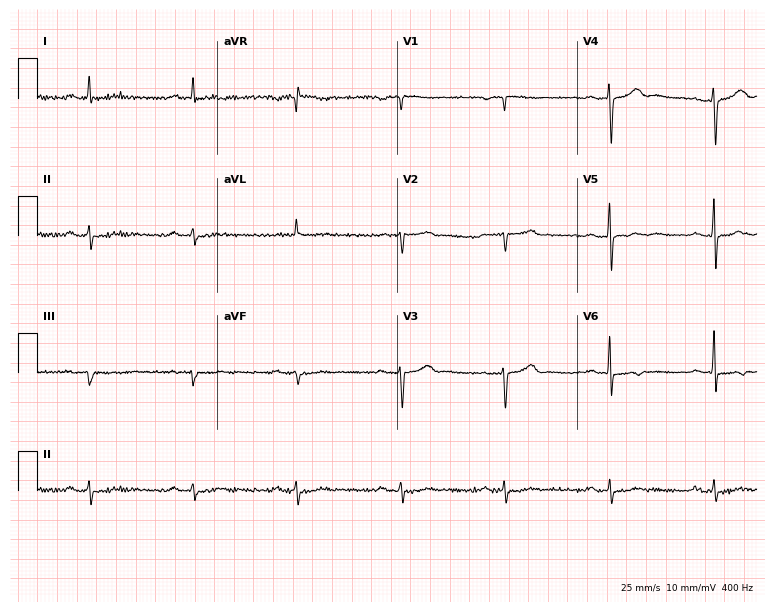
Resting 12-lead electrocardiogram (7.3-second recording at 400 Hz). Patient: a 70-year-old female. None of these six findings is recorded: first-degree AV block, right bundle branch block, left bundle branch block, sinus bradycardia, atrial fibrillation, sinus tachycardia. Only these six findings were labelled.